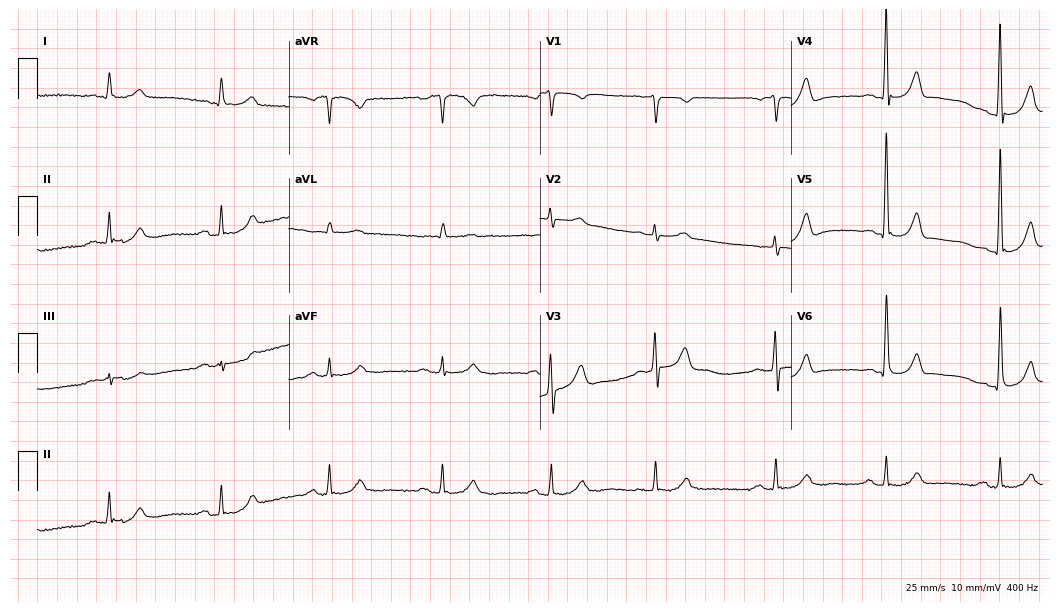
12-lead ECG from a 72-year-old male patient. Screened for six findings — first-degree AV block, right bundle branch block, left bundle branch block, sinus bradycardia, atrial fibrillation, sinus tachycardia — none is recorded.